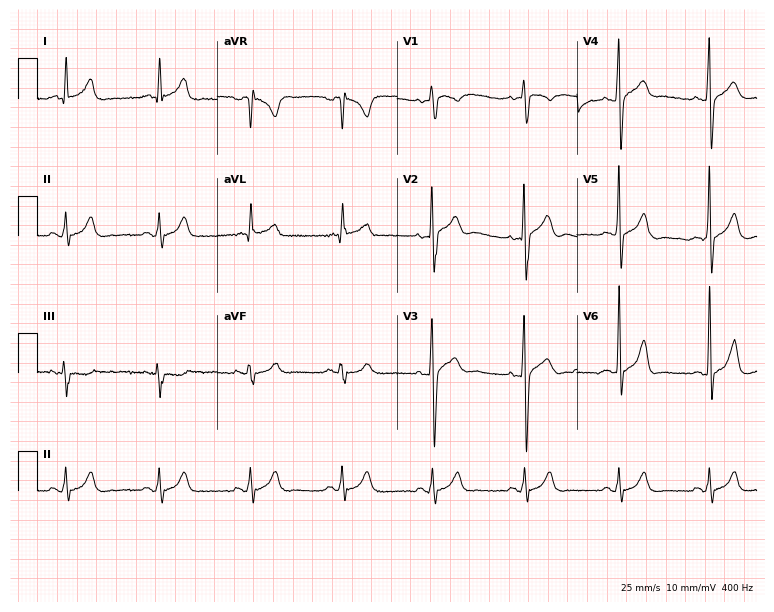
Resting 12-lead electrocardiogram (7.3-second recording at 400 Hz). Patient: a 41-year-old man. Read as a normal ECG.